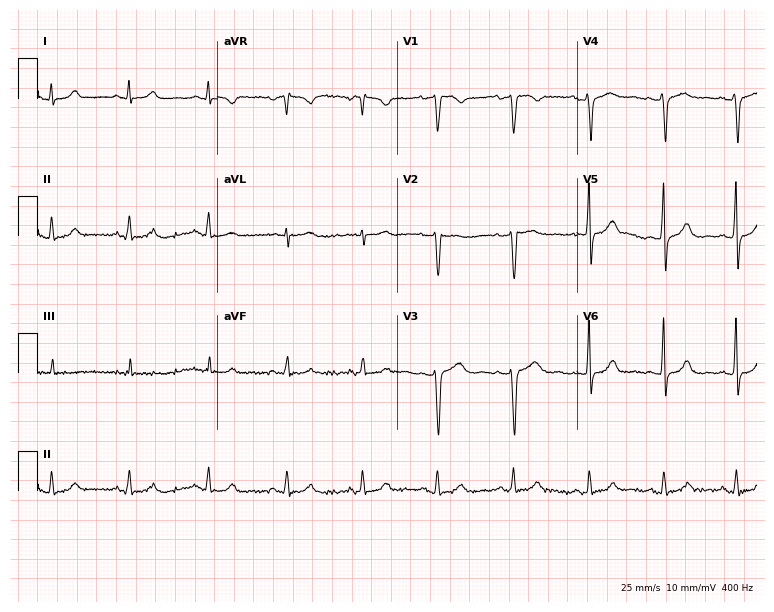
Resting 12-lead electrocardiogram. Patient: a woman, 38 years old. Read as a normal ECG.